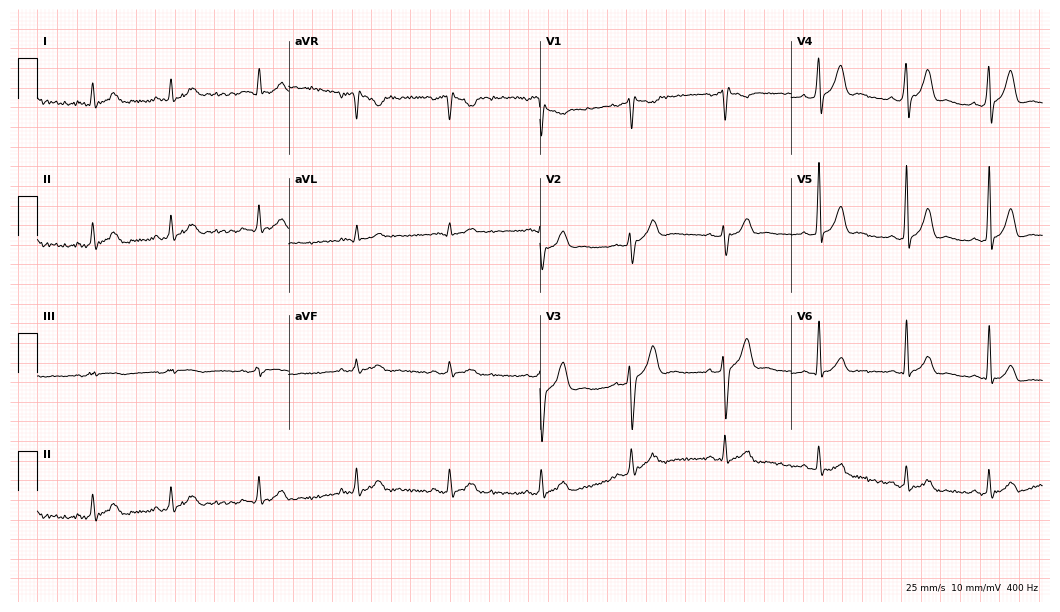
Standard 12-lead ECG recorded from a male patient, 34 years old (10.2-second recording at 400 Hz). Read as a normal ECG.